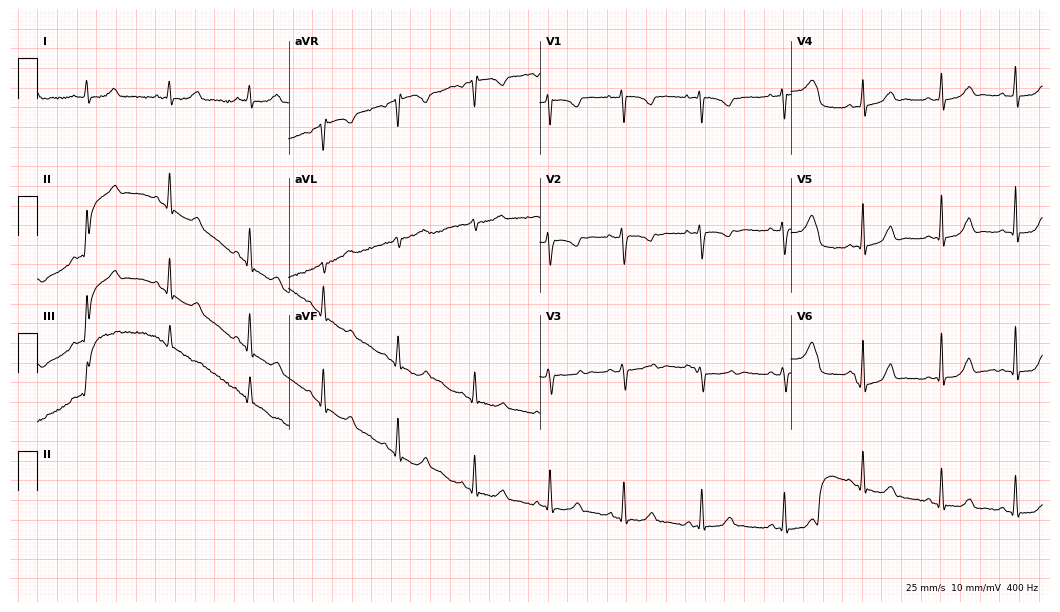
Resting 12-lead electrocardiogram. Patient: a 17-year-old female. Read as a normal ECG.